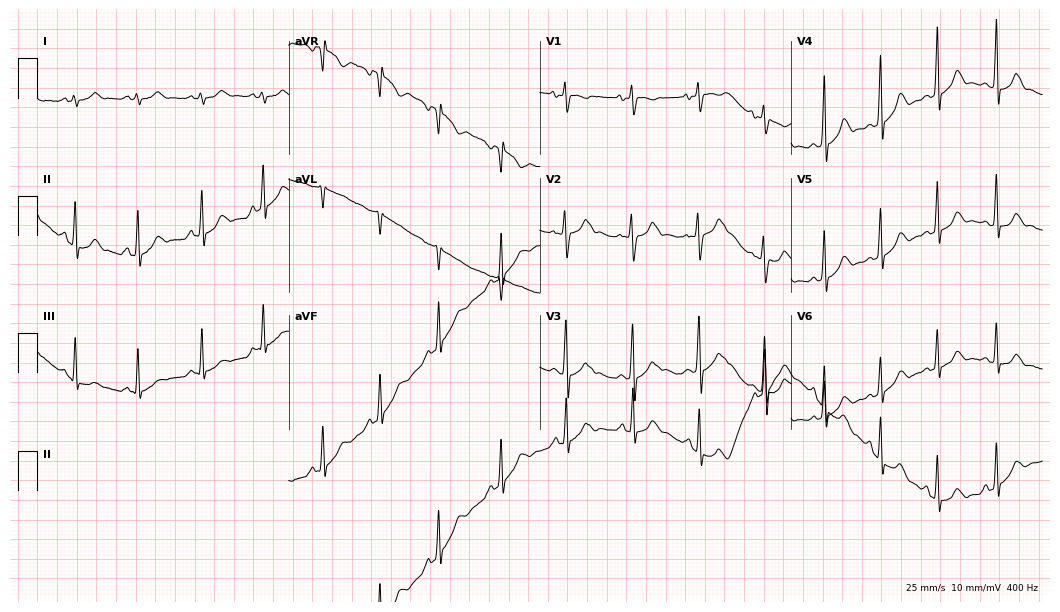
ECG (10.2-second recording at 400 Hz) — a 19-year-old female patient. Screened for six findings — first-degree AV block, right bundle branch block, left bundle branch block, sinus bradycardia, atrial fibrillation, sinus tachycardia — none is recorded. Findings outside these six are not listed.